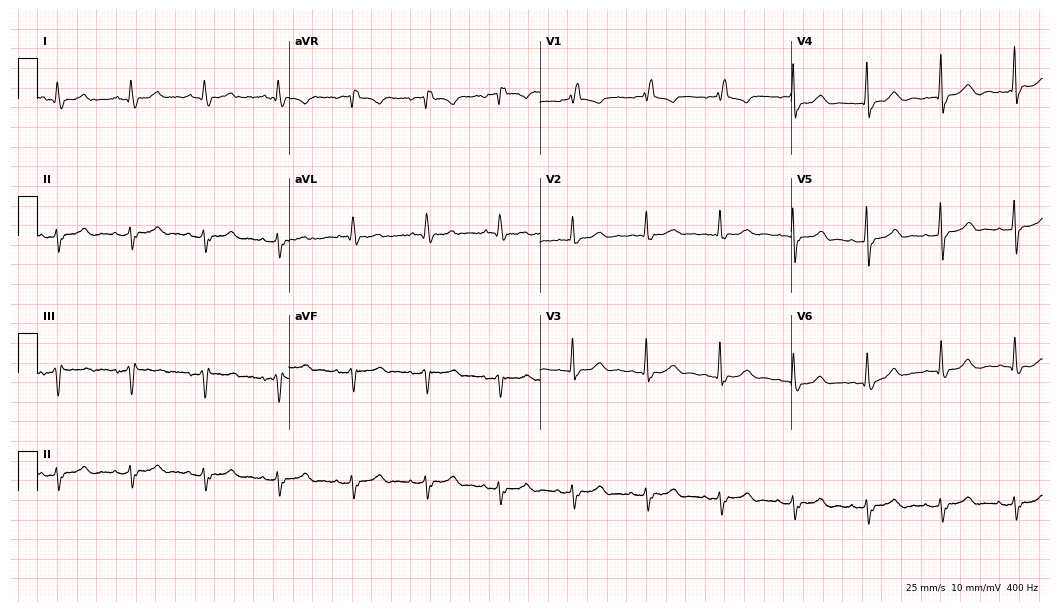
12-lead ECG from a 72-year-old female (10.2-second recording at 400 Hz). Shows right bundle branch block.